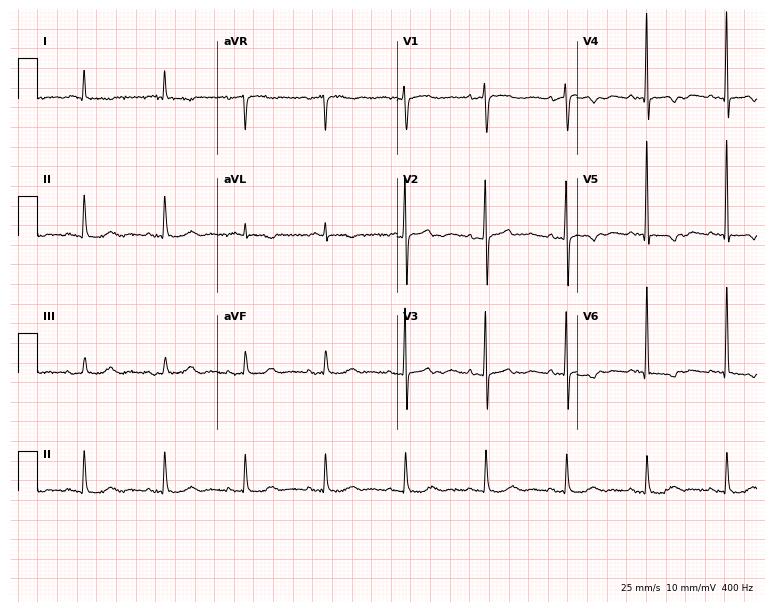
Standard 12-lead ECG recorded from a woman, 81 years old. None of these six findings is recorded: first-degree AV block, right bundle branch block (RBBB), left bundle branch block (LBBB), sinus bradycardia, atrial fibrillation (AF), sinus tachycardia. Only these six findings were labelled.